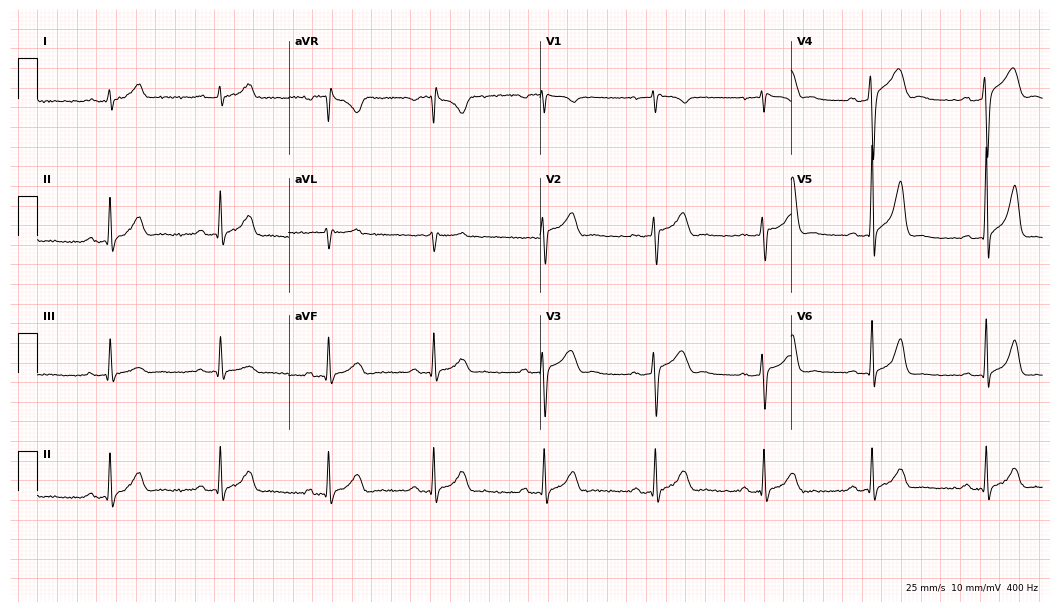
12-lead ECG from a 38-year-old man (10.2-second recording at 400 Hz). Recorded interpretation: within normal limits.